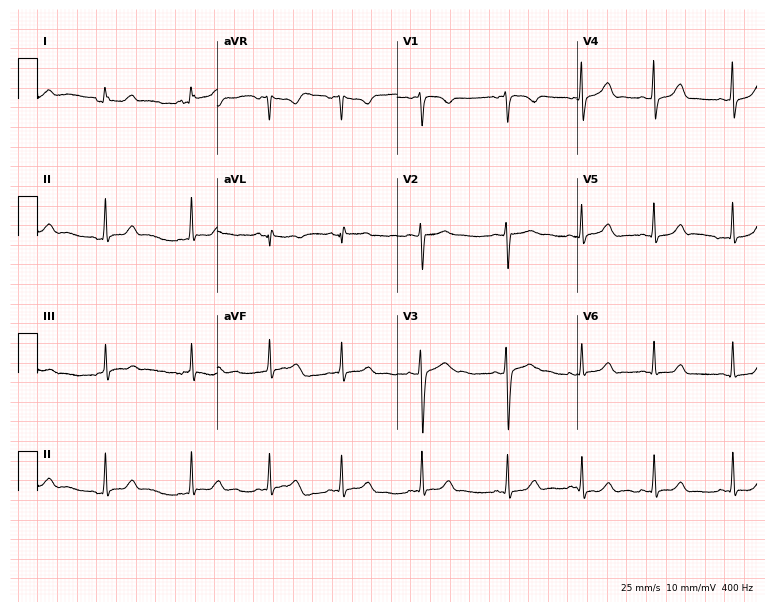
Resting 12-lead electrocardiogram (7.3-second recording at 400 Hz). Patient: a female, 19 years old. Read as a normal ECG.